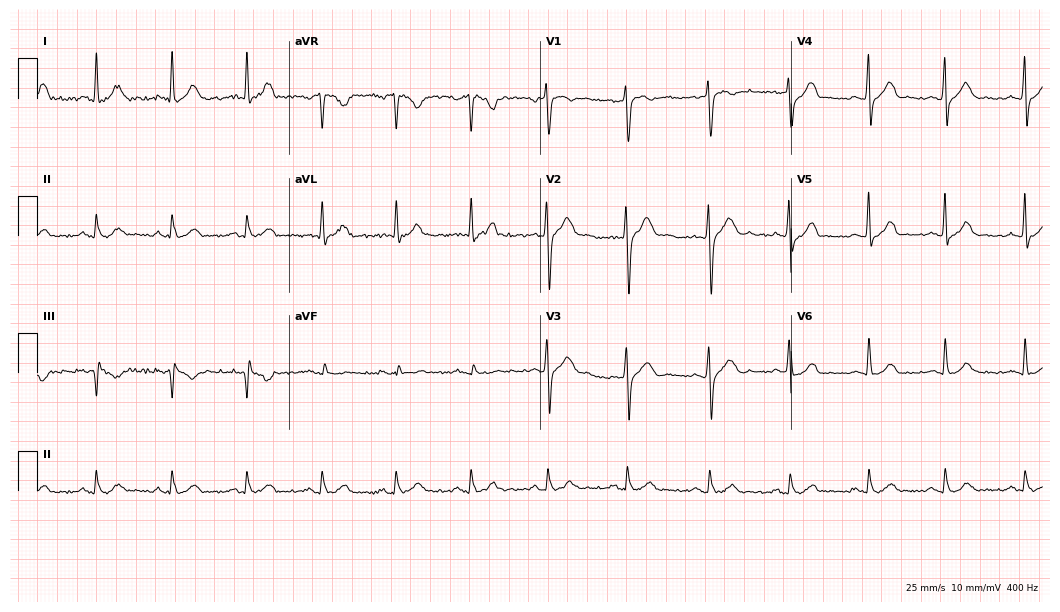
12-lead ECG from a male, 42 years old. No first-degree AV block, right bundle branch block (RBBB), left bundle branch block (LBBB), sinus bradycardia, atrial fibrillation (AF) or sinus tachycardia recorded for this tracing. Only these six findings were labelled.